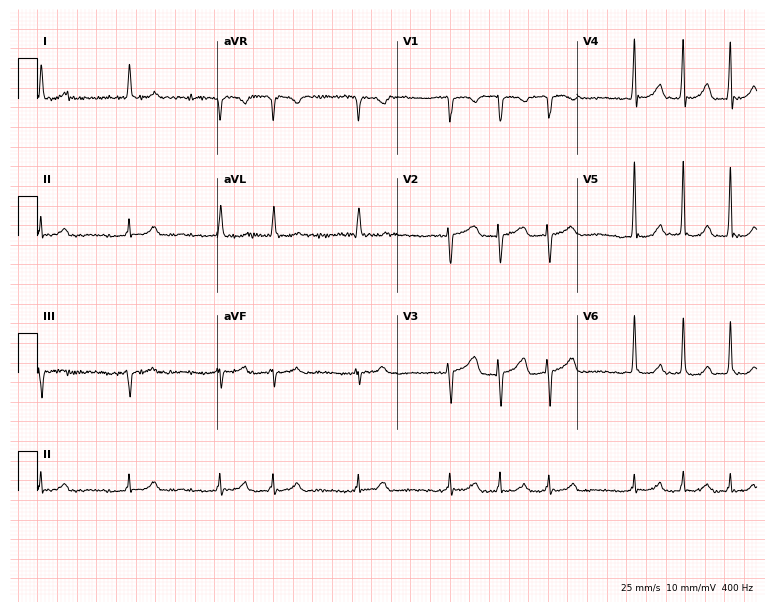
12-lead ECG (7.3-second recording at 400 Hz) from a 74-year-old female patient. Screened for six findings — first-degree AV block, right bundle branch block, left bundle branch block, sinus bradycardia, atrial fibrillation, sinus tachycardia — none is recorded. Findings outside these six are not listed.